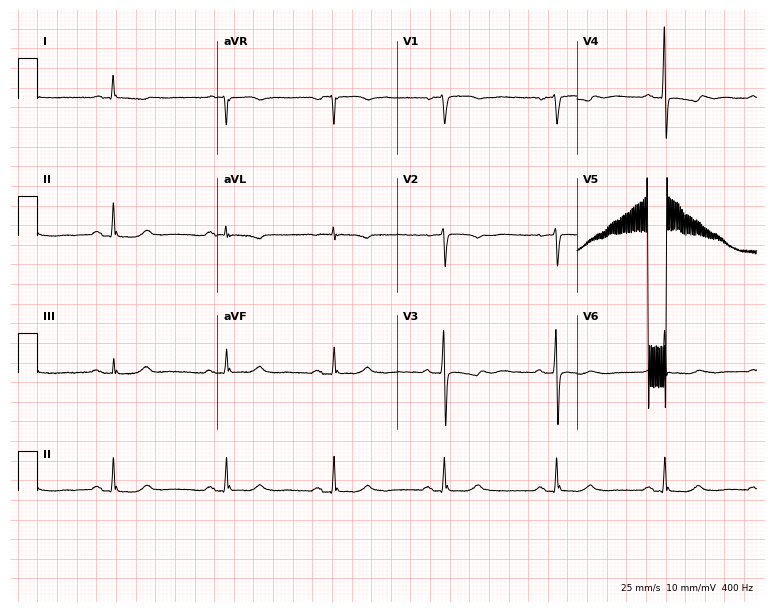
ECG — a female patient, 73 years old. Screened for six findings — first-degree AV block, right bundle branch block, left bundle branch block, sinus bradycardia, atrial fibrillation, sinus tachycardia — none is recorded. Findings outside these six are not listed.